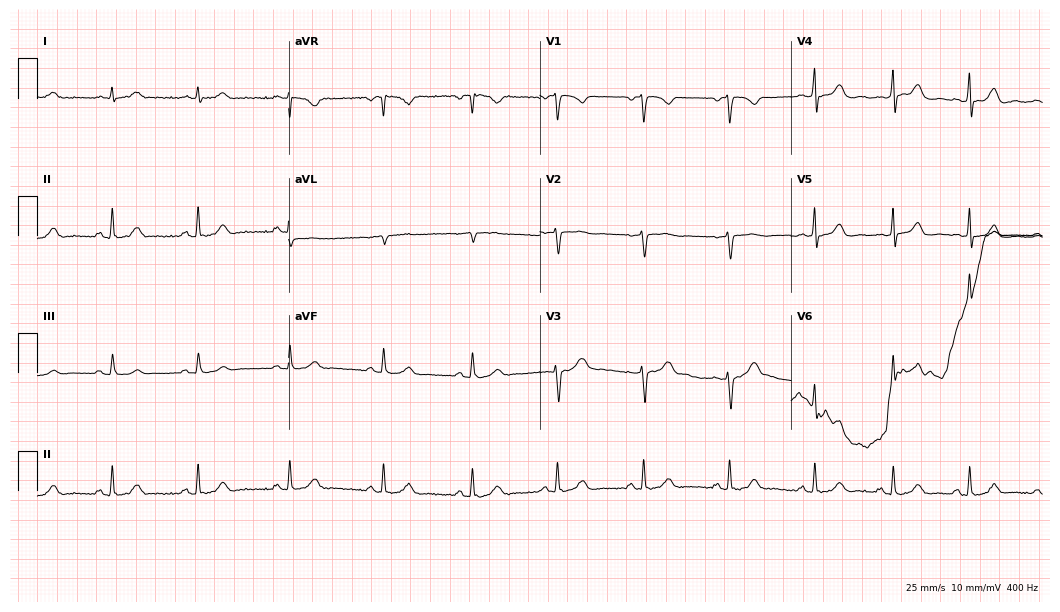
Electrocardiogram (10.2-second recording at 400 Hz), a woman, 36 years old. Of the six screened findings (first-degree AV block, right bundle branch block, left bundle branch block, sinus bradycardia, atrial fibrillation, sinus tachycardia), none is recorded. Only these six findings were labelled.